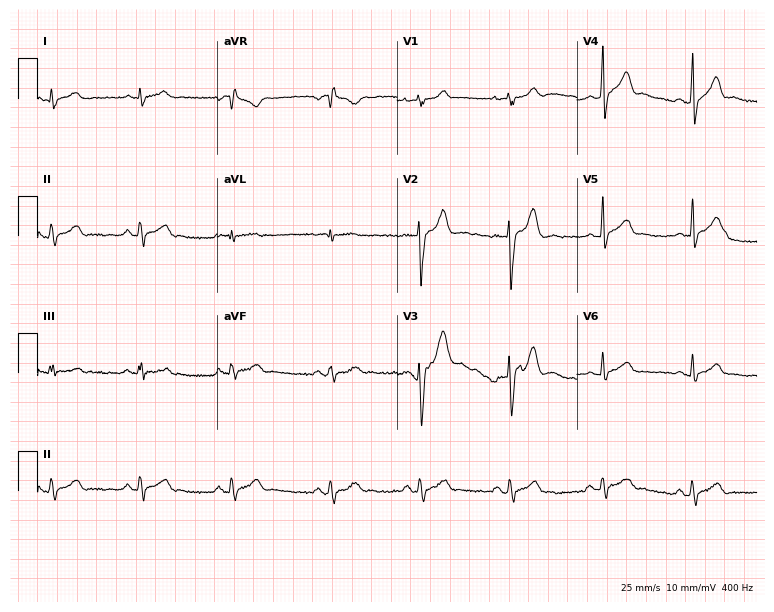
12-lead ECG from a 33-year-old man. Screened for six findings — first-degree AV block, right bundle branch block, left bundle branch block, sinus bradycardia, atrial fibrillation, sinus tachycardia — none is recorded.